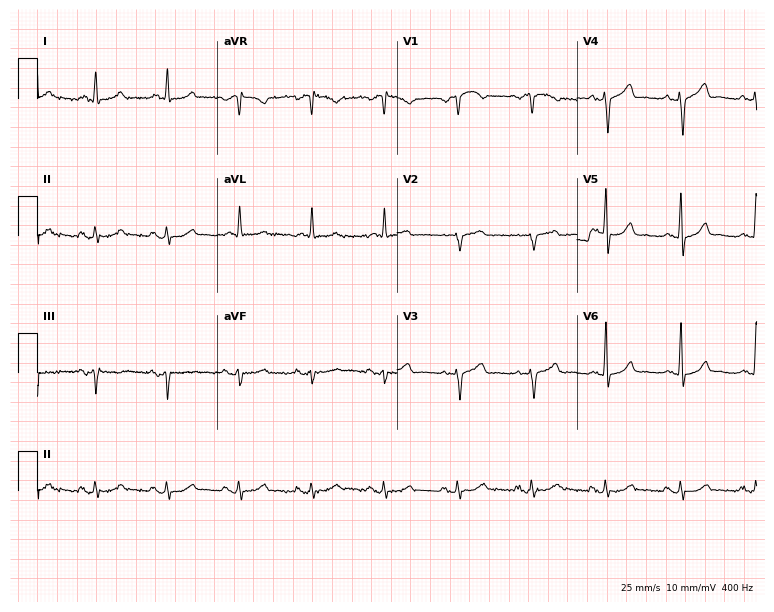
12-lead ECG from a 66-year-old male patient. Screened for six findings — first-degree AV block, right bundle branch block (RBBB), left bundle branch block (LBBB), sinus bradycardia, atrial fibrillation (AF), sinus tachycardia — none is recorded. Other findings, if any, are not listed.